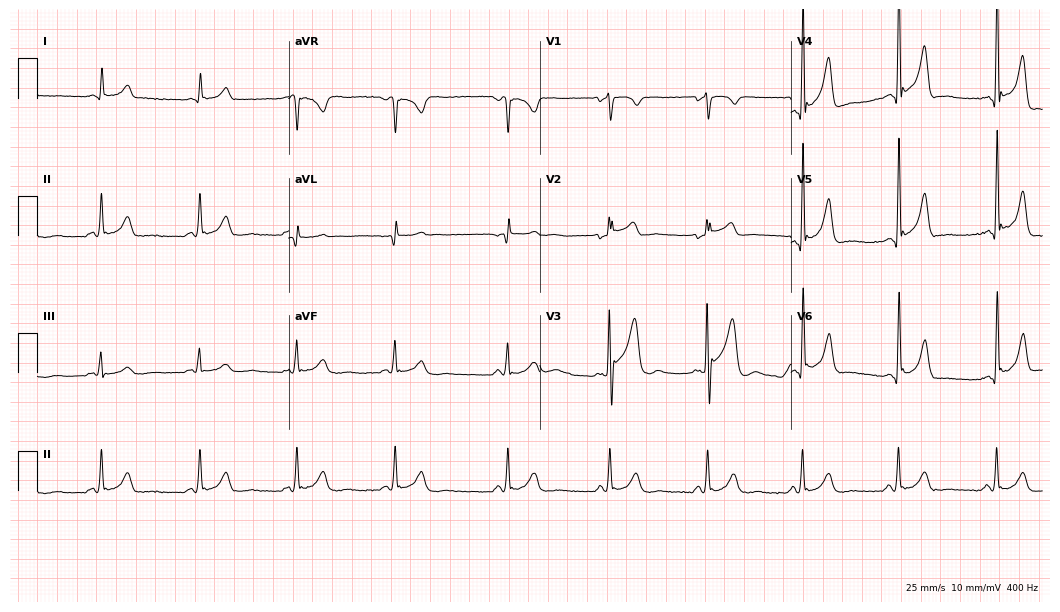
Standard 12-lead ECG recorded from a man, 48 years old. None of these six findings is recorded: first-degree AV block, right bundle branch block, left bundle branch block, sinus bradycardia, atrial fibrillation, sinus tachycardia.